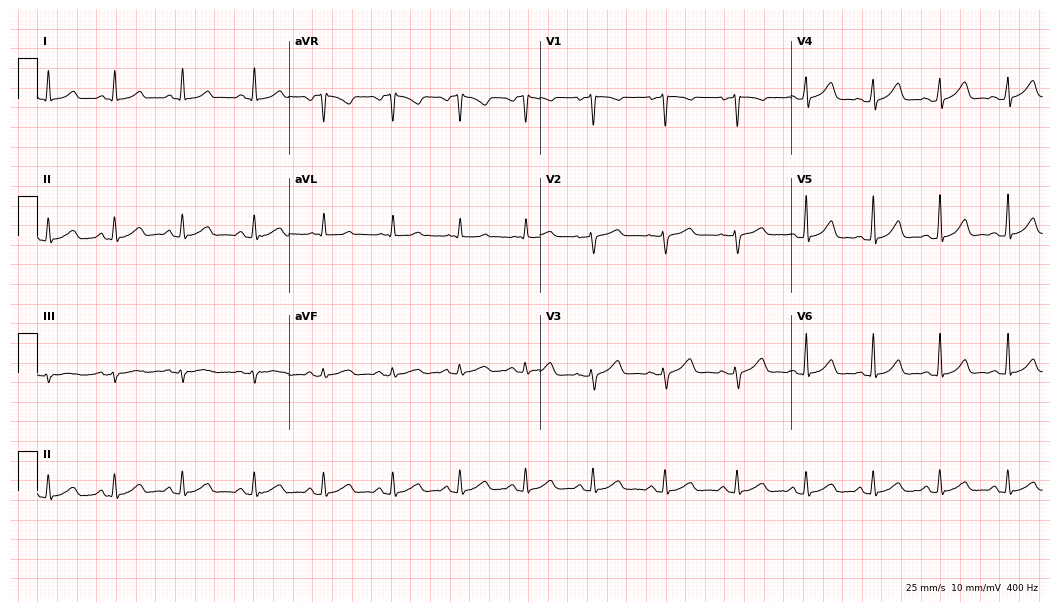
Electrocardiogram, a female patient, 36 years old. Overall reading on record: normal ECG.